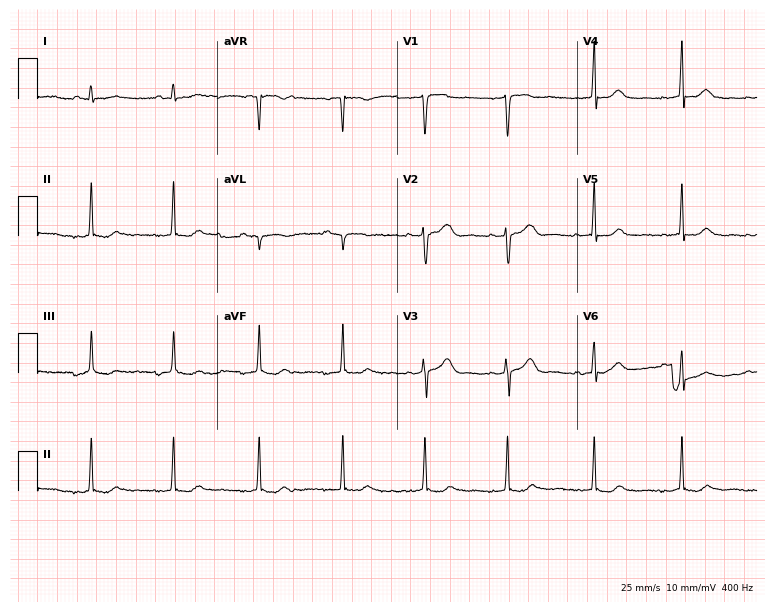
12-lead ECG from a 33-year-old female patient (7.3-second recording at 400 Hz). Recorded interpretation: within normal limits.